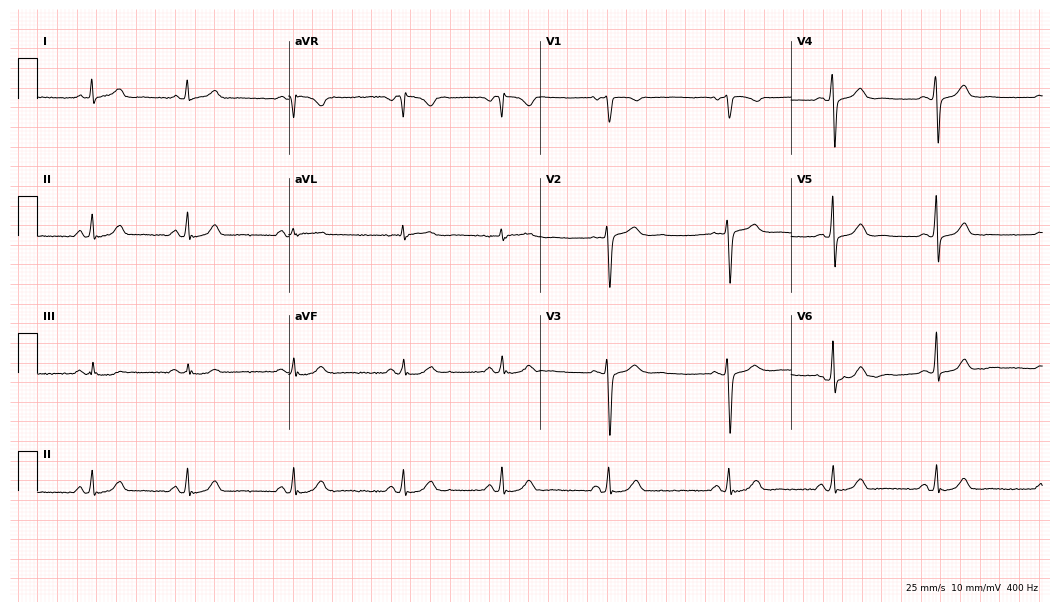
ECG (10.2-second recording at 400 Hz) — a female patient, 49 years old. Labelled as a normal ECG.